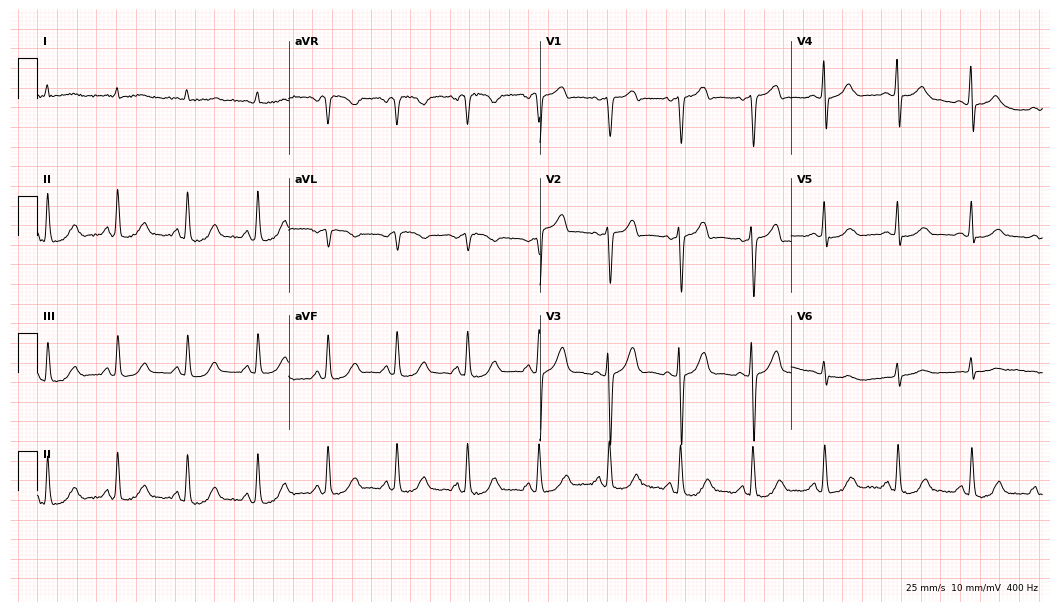
12-lead ECG from a male patient, 74 years old (10.2-second recording at 400 Hz). Recorded interpretation: within normal limits.